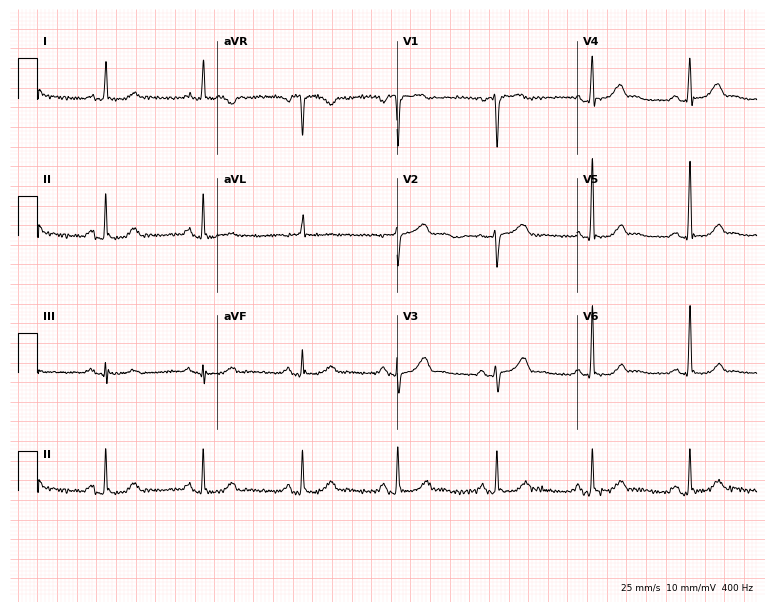
12-lead ECG (7.3-second recording at 400 Hz) from a 52-year-old woman. Labelled as a normal ECG.